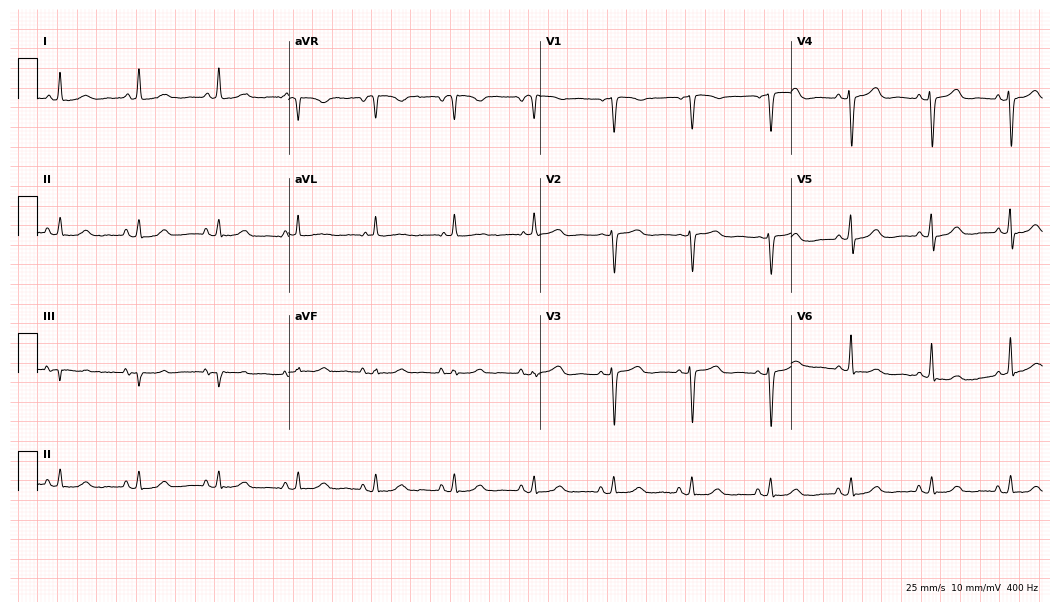
Standard 12-lead ECG recorded from a woman, 81 years old (10.2-second recording at 400 Hz). Read as a normal ECG.